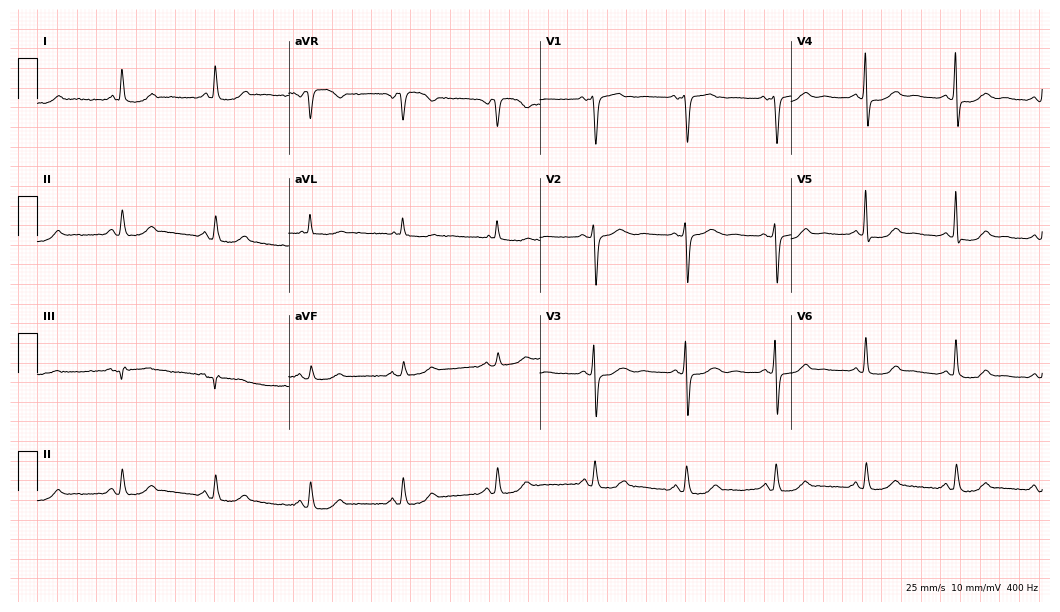
Resting 12-lead electrocardiogram. Patient: a female, 56 years old. None of these six findings is recorded: first-degree AV block, right bundle branch block, left bundle branch block, sinus bradycardia, atrial fibrillation, sinus tachycardia.